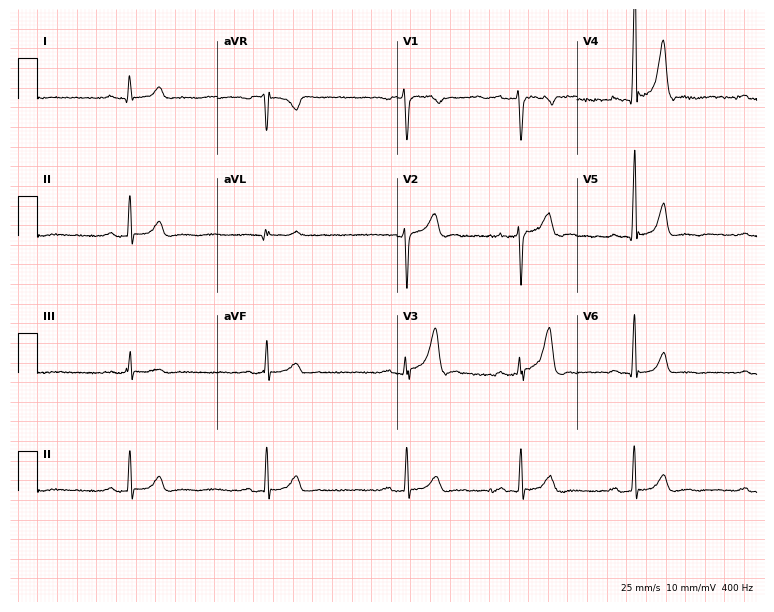
12-lead ECG from a man, 26 years old (7.3-second recording at 400 Hz). Shows first-degree AV block, sinus bradycardia (a sinus rate of 50 beats per minute or less).